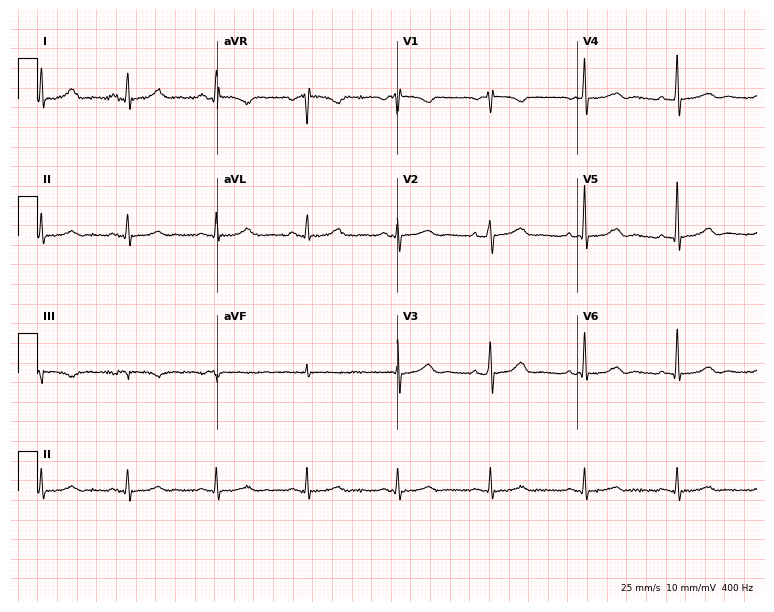
12-lead ECG from a woman, 67 years old. Labelled as a normal ECG.